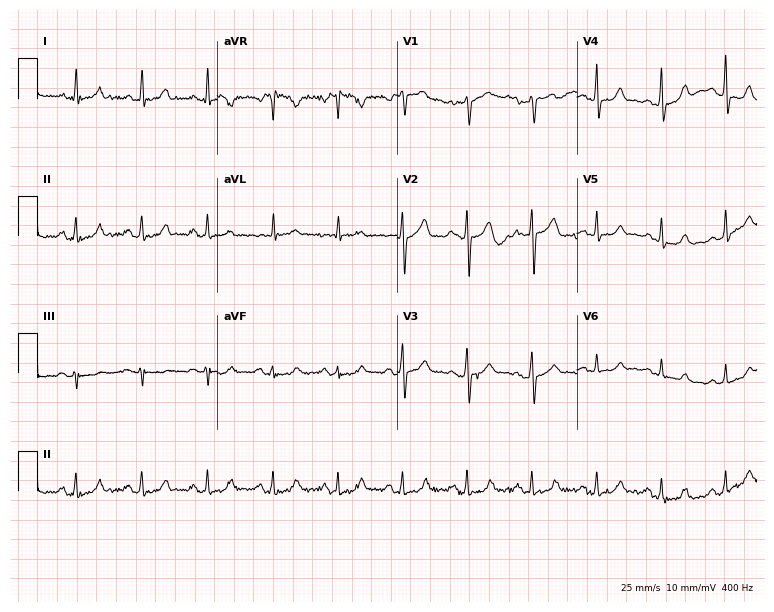
Standard 12-lead ECG recorded from a 39-year-old female patient. Read as a normal ECG.